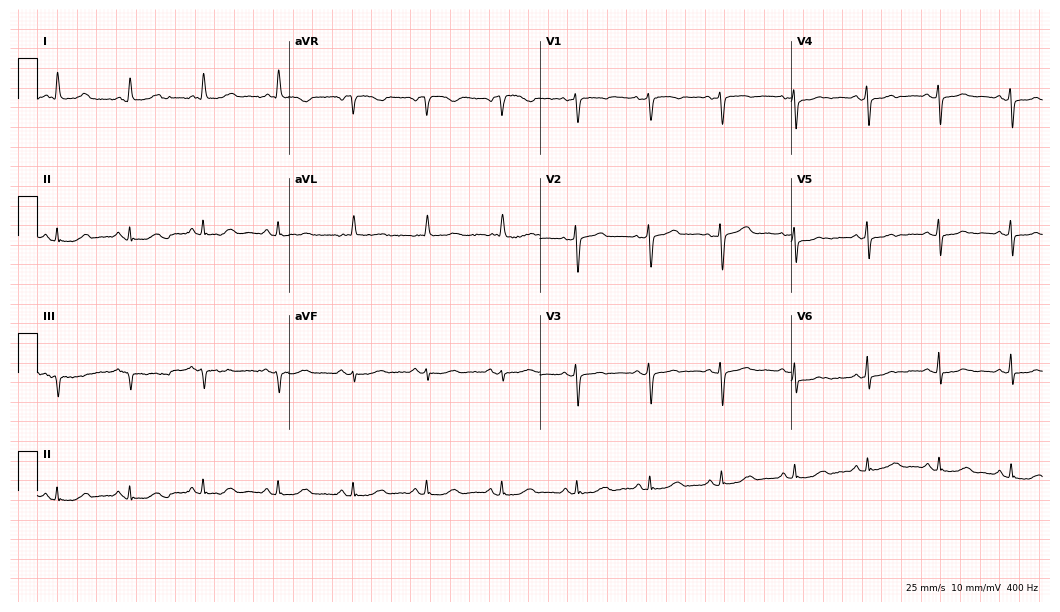
12-lead ECG from a 64-year-old female patient. Screened for six findings — first-degree AV block, right bundle branch block, left bundle branch block, sinus bradycardia, atrial fibrillation, sinus tachycardia — none is recorded.